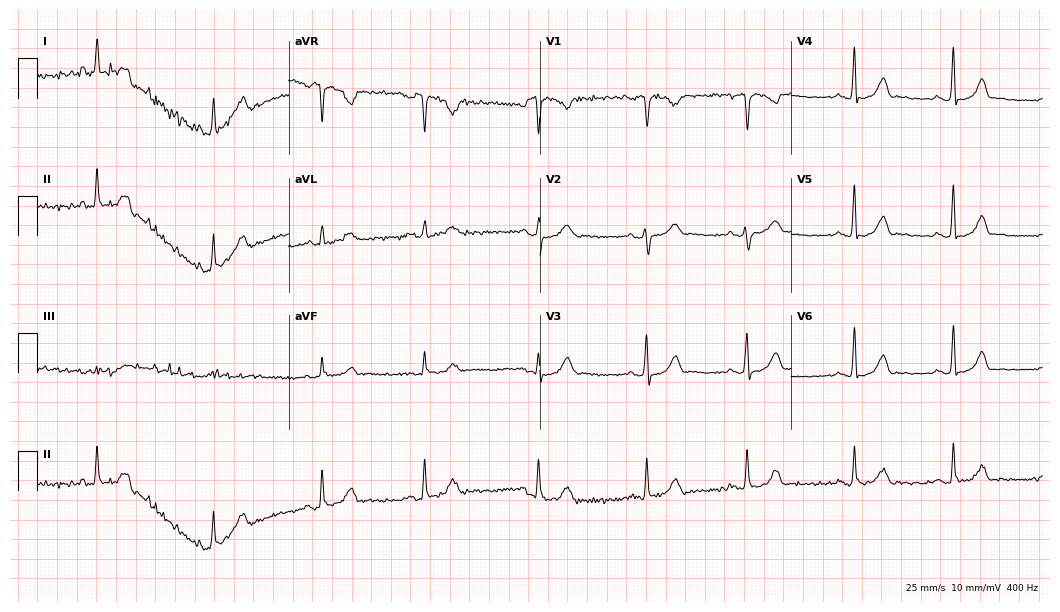
12-lead ECG from a female, 33 years old. Screened for six findings — first-degree AV block, right bundle branch block (RBBB), left bundle branch block (LBBB), sinus bradycardia, atrial fibrillation (AF), sinus tachycardia — none is recorded.